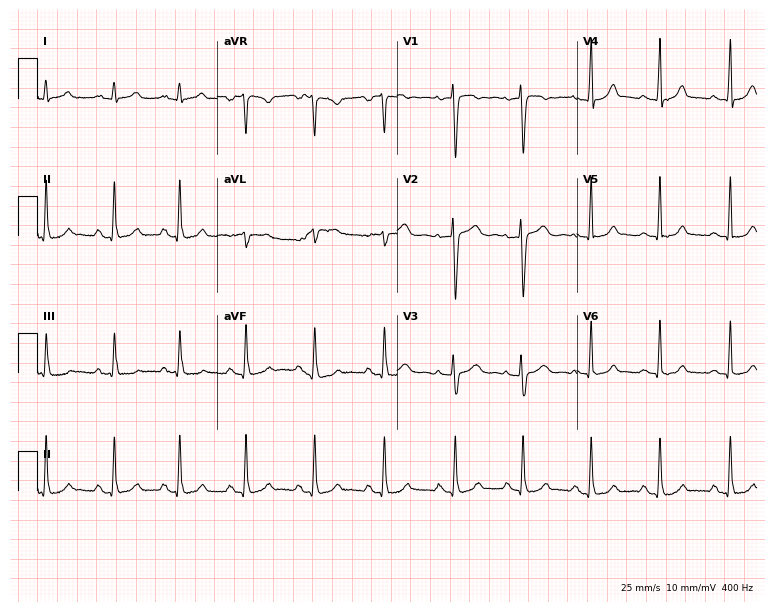
Resting 12-lead electrocardiogram (7.3-second recording at 400 Hz). Patient: a female, 26 years old. None of these six findings is recorded: first-degree AV block, right bundle branch block, left bundle branch block, sinus bradycardia, atrial fibrillation, sinus tachycardia. Only these six findings were labelled.